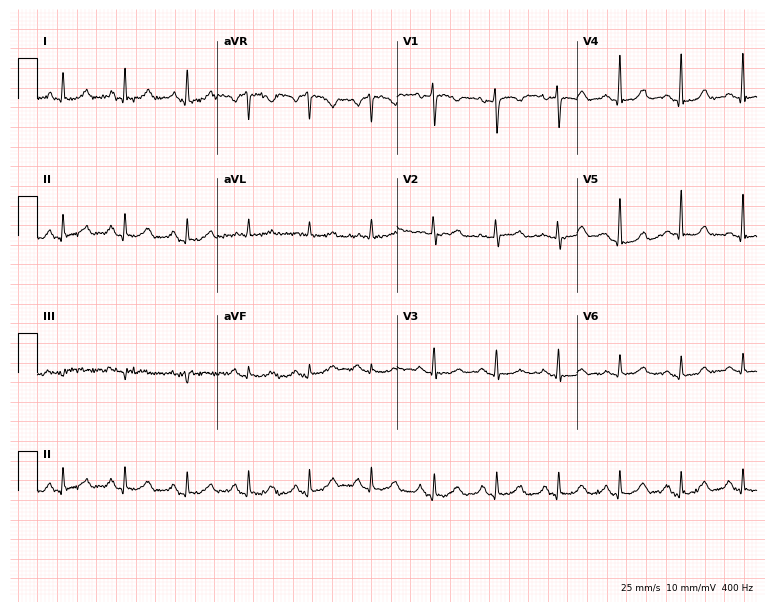
Standard 12-lead ECG recorded from a 64-year-old female patient. None of these six findings is recorded: first-degree AV block, right bundle branch block (RBBB), left bundle branch block (LBBB), sinus bradycardia, atrial fibrillation (AF), sinus tachycardia.